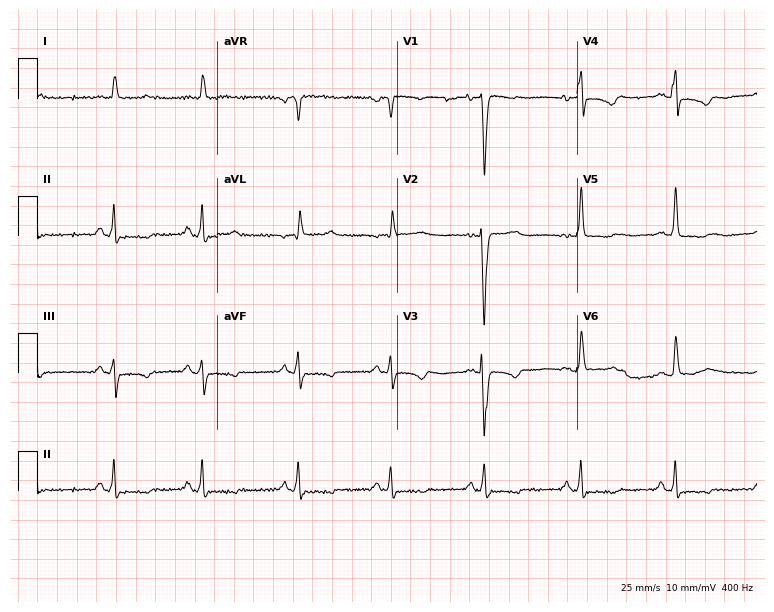
12-lead ECG (7.3-second recording at 400 Hz) from a 77-year-old female. Screened for six findings — first-degree AV block, right bundle branch block, left bundle branch block, sinus bradycardia, atrial fibrillation, sinus tachycardia — none is recorded. Only these six findings were labelled.